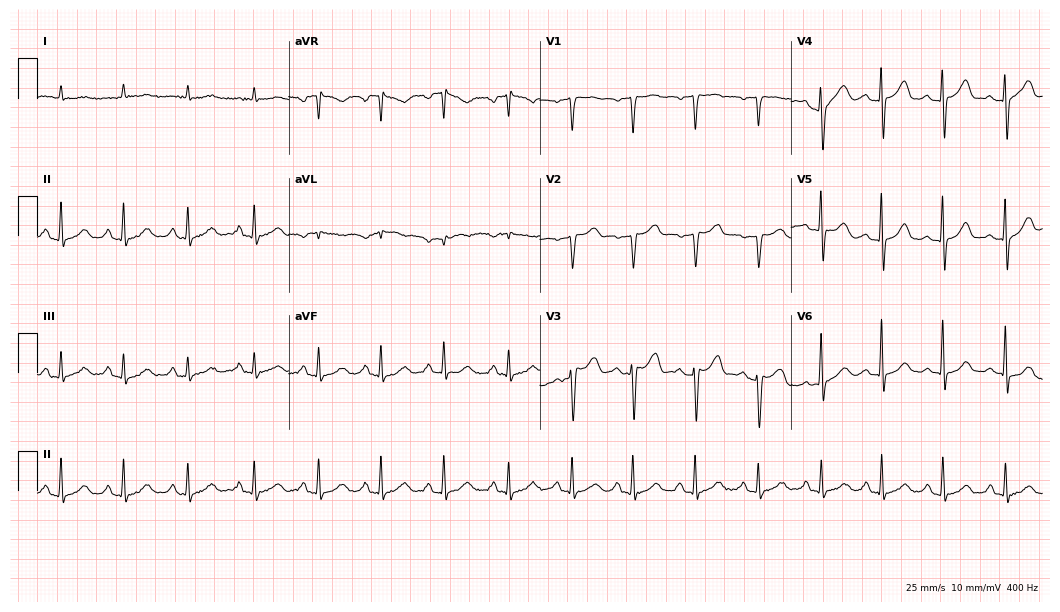
ECG — a man, 61 years old. Labelled as a normal ECG.